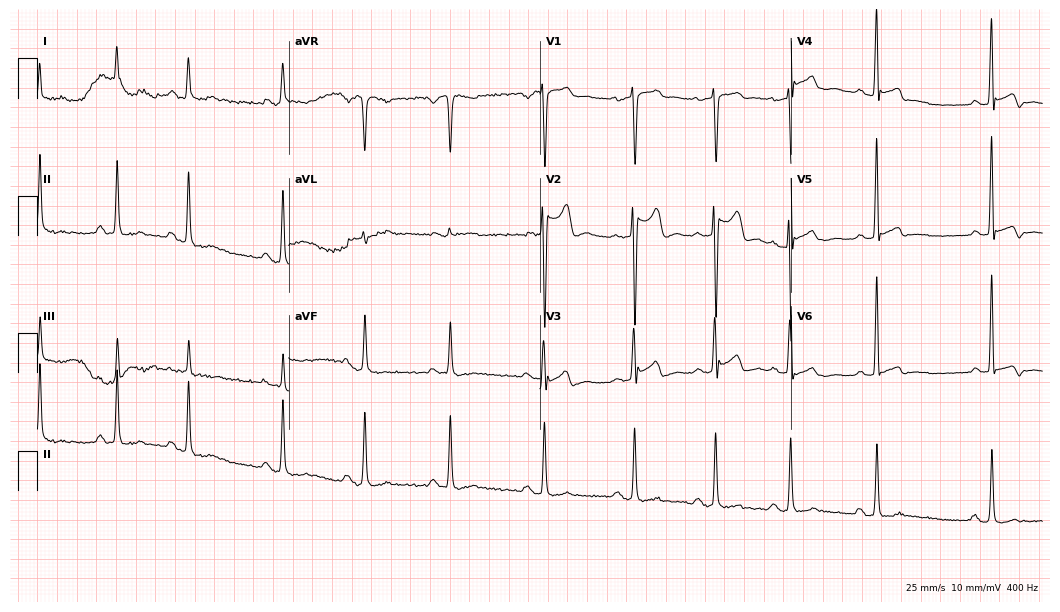
Standard 12-lead ECG recorded from a male, 27 years old (10.2-second recording at 400 Hz). None of these six findings is recorded: first-degree AV block, right bundle branch block, left bundle branch block, sinus bradycardia, atrial fibrillation, sinus tachycardia. Other findings, if any, are not listed.